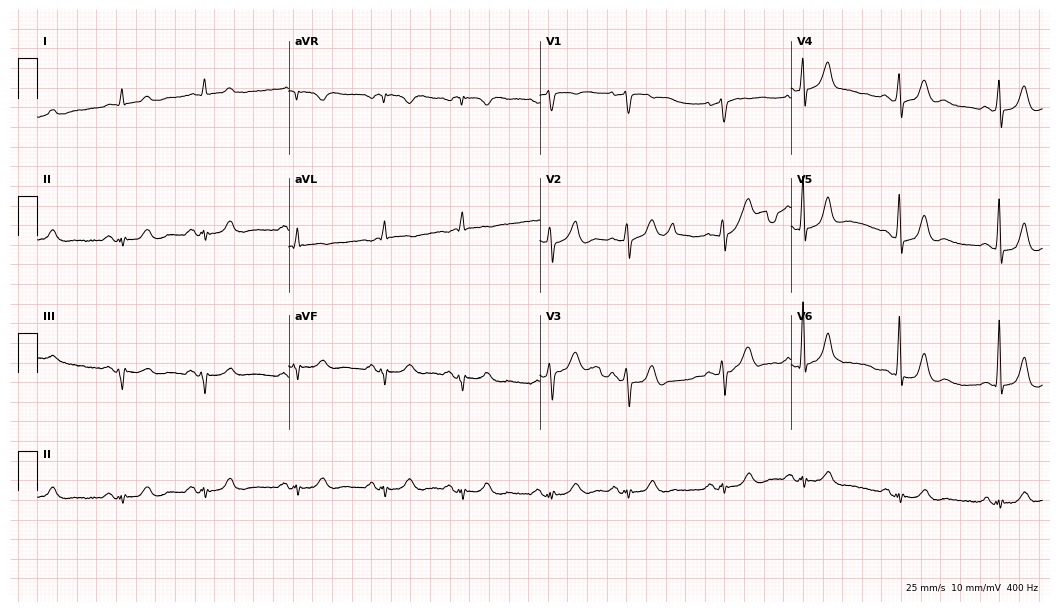
ECG (10.2-second recording at 400 Hz) — a man, 81 years old. Screened for six findings — first-degree AV block, right bundle branch block, left bundle branch block, sinus bradycardia, atrial fibrillation, sinus tachycardia — none is recorded.